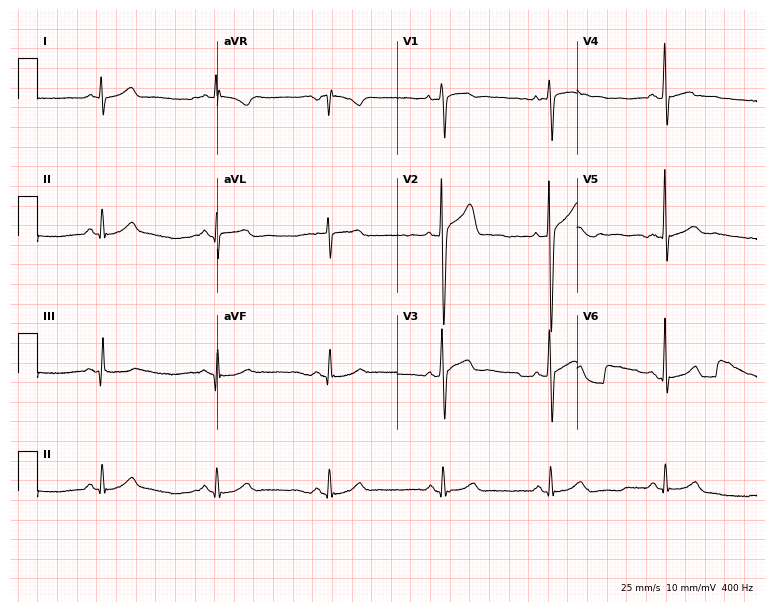
ECG — a 33-year-old man. Labelled as a normal ECG.